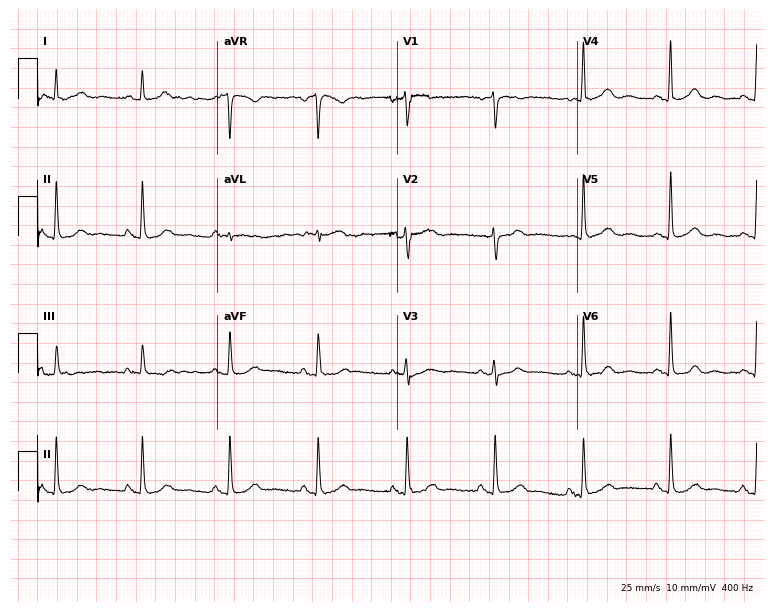
Standard 12-lead ECG recorded from a 60-year-old female patient. Read as a normal ECG.